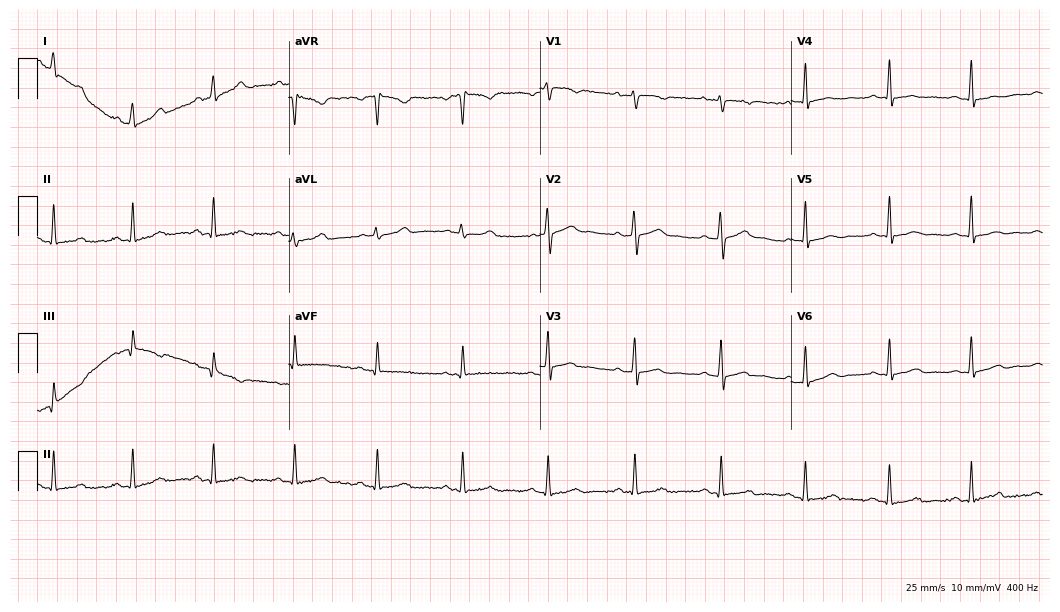
ECG — a woman, 34 years old. Screened for six findings — first-degree AV block, right bundle branch block (RBBB), left bundle branch block (LBBB), sinus bradycardia, atrial fibrillation (AF), sinus tachycardia — none is recorded.